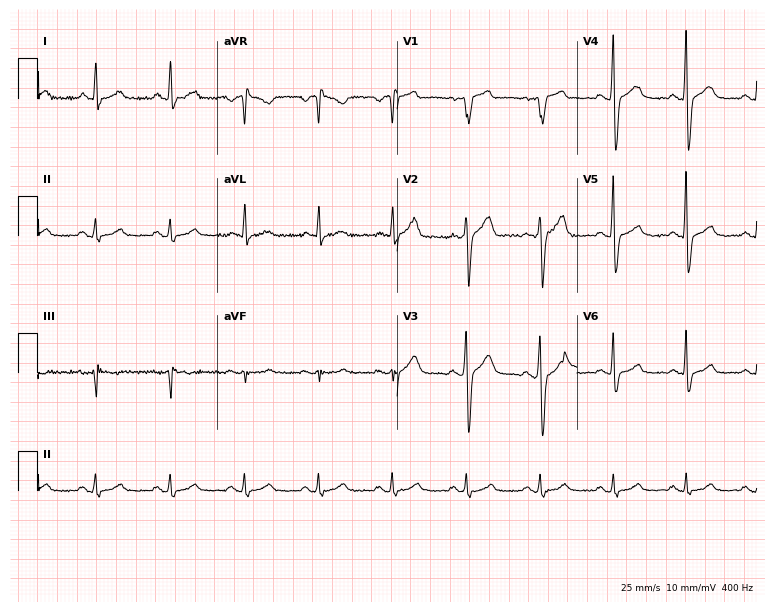
Standard 12-lead ECG recorded from a male, 54 years old (7.3-second recording at 400 Hz). Read as a normal ECG.